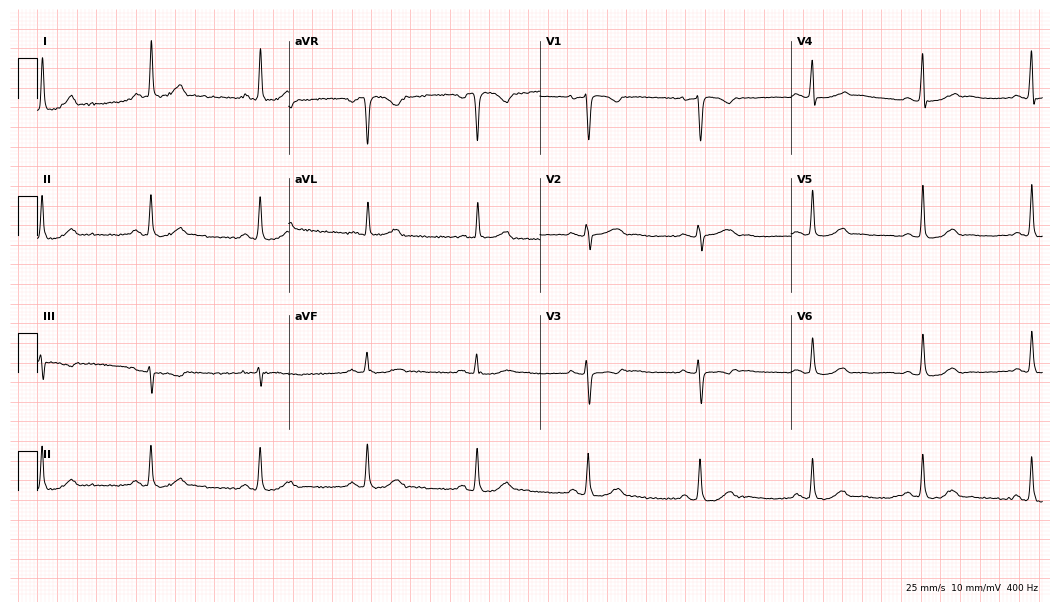
Resting 12-lead electrocardiogram (10.2-second recording at 400 Hz). Patient: a woman, 60 years old. Read as a normal ECG.